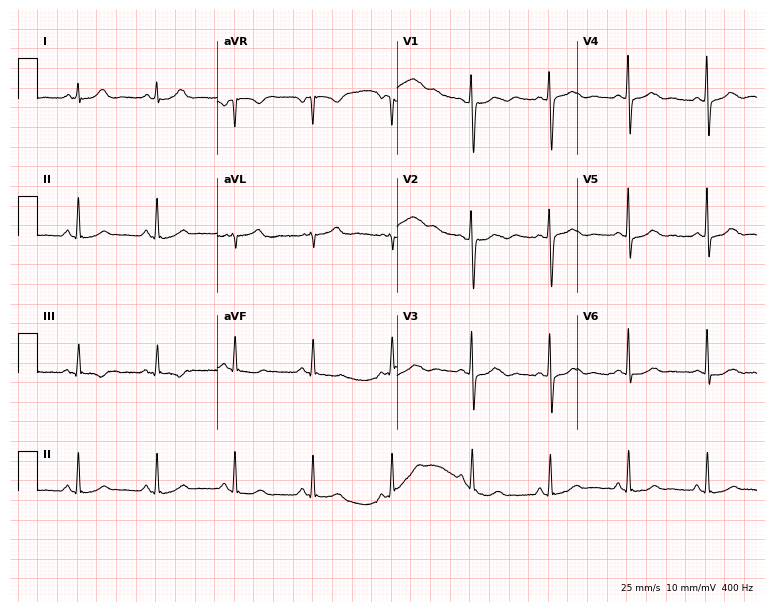
12-lead ECG from a woman, 49 years old. No first-degree AV block, right bundle branch block (RBBB), left bundle branch block (LBBB), sinus bradycardia, atrial fibrillation (AF) or sinus tachycardia recorded for this tracing.